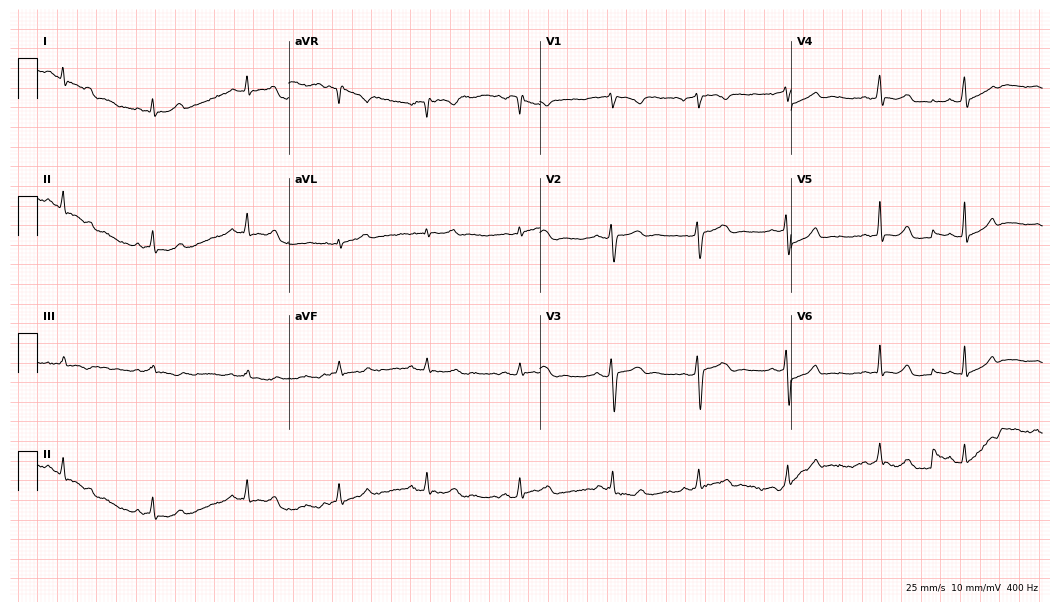
Electrocardiogram, a woman, 28 years old. Overall reading on record: normal ECG.